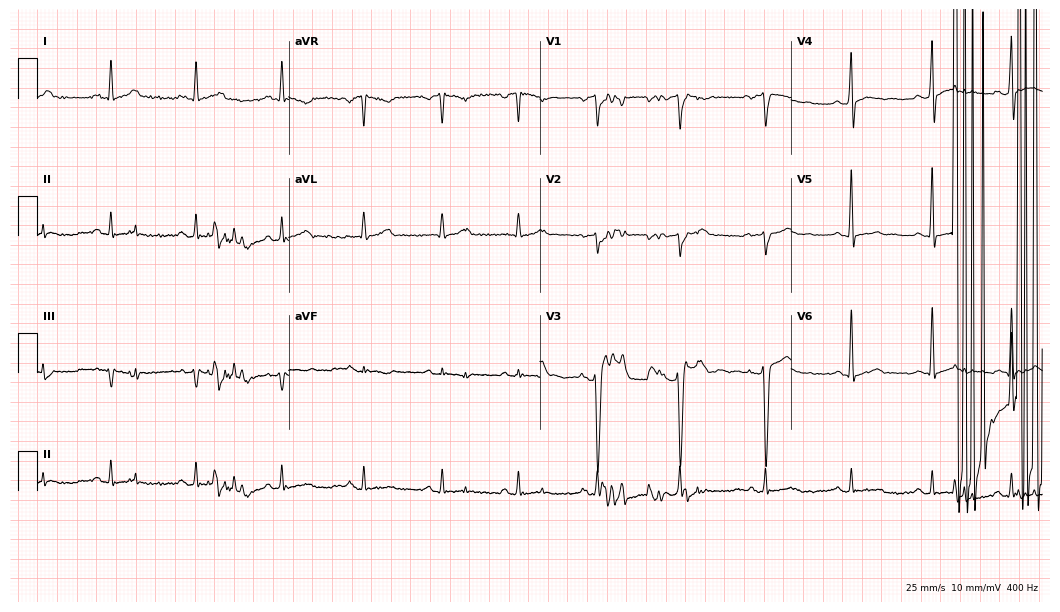
Resting 12-lead electrocardiogram (10.2-second recording at 400 Hz). Patient: a male, 25 years old. None of these six findings is recorded: first-degree AV block, right bundle branch block, left bundle branch block, sinus bradycardia, atrial fibrillation, sinus tachycardia.